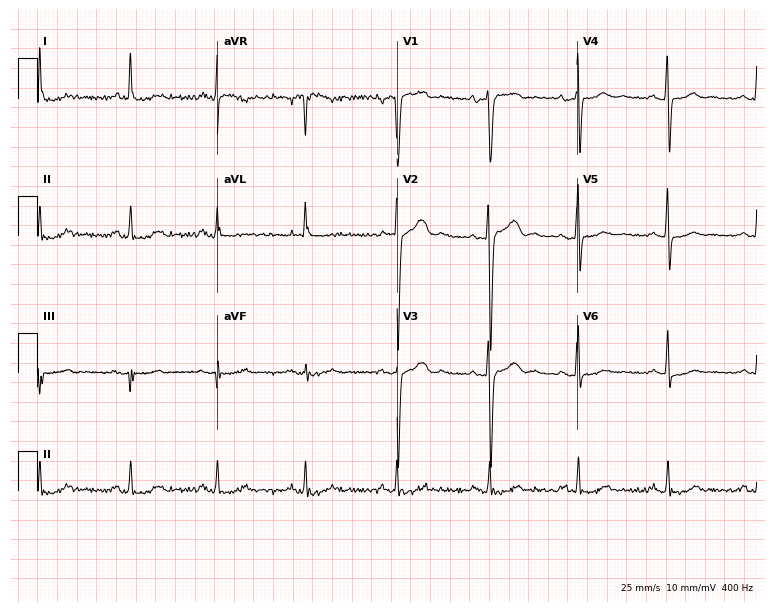
12-lead ECG from a 42-year-old male patient. No first-degree AV block, right bundle branch block, left bundle branch block, sinus bradycardia, atrial fibrillation or sinus tachycardia recorded for this tracing. Findings outside these six are not listed.